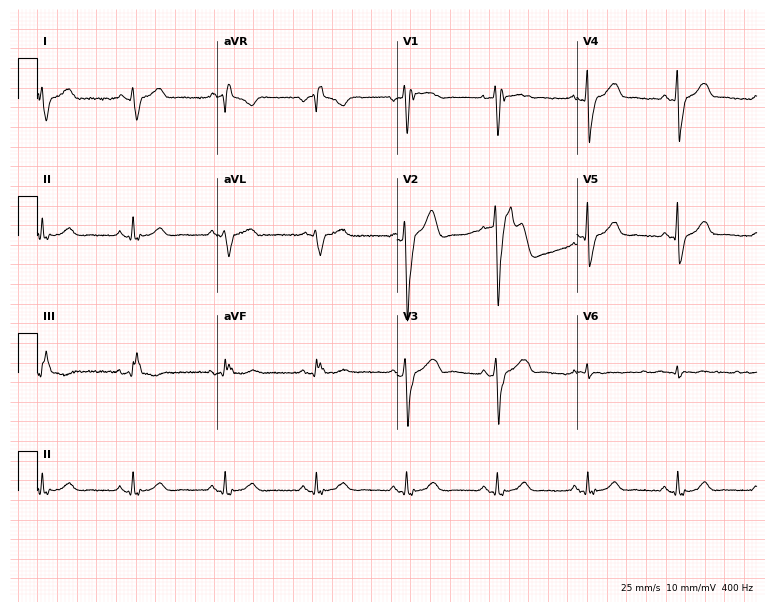
12-lead ECG from a male, 47 years old. Shows right bundle branch block.